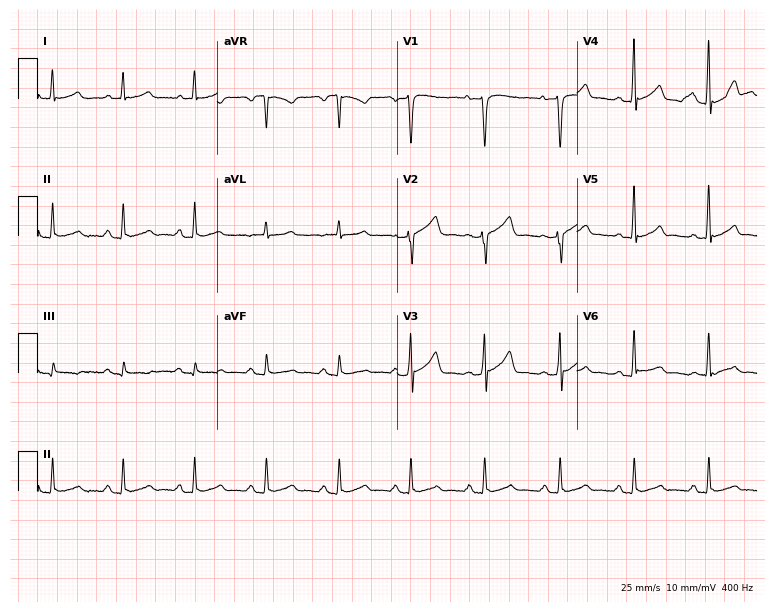
12-lead ECG from a woman, 54 years old (7.3-second recording at 400 Hz). Recorded interpretation: within normal limits.